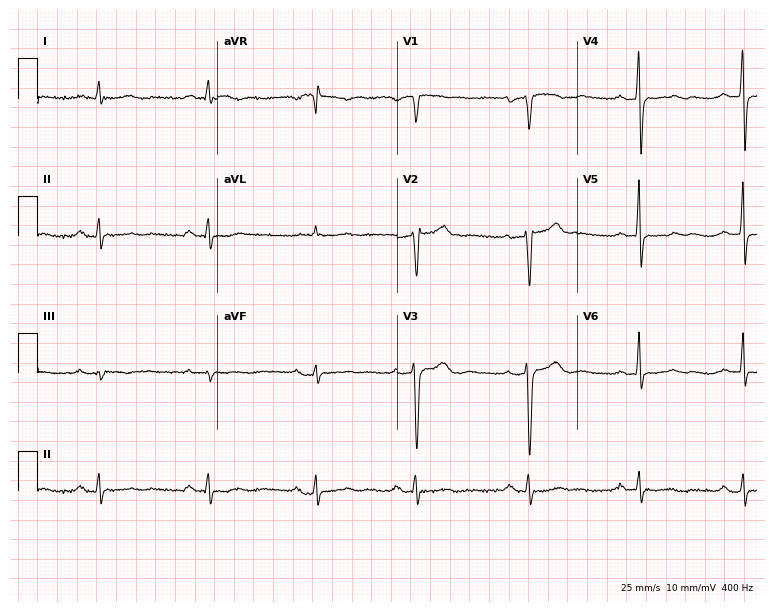
12-lead ECG from a 55-year-old man (7.3-second recording at 400 Hz). Recorded interpretation: within normal limits.